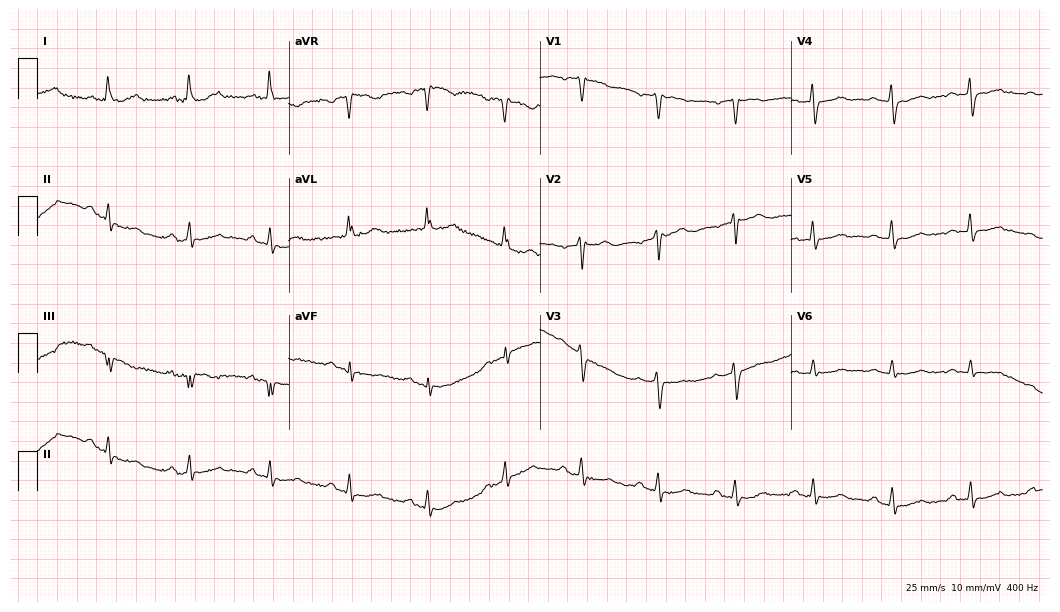
Resting 12-lead electrocardiogram (10.2-second recording at 400 Hz). Patient: a female, 59 years old. None of these six findings is recorded: first-degree AV block, right bundle branch block, left bundle branch block, sinus bradycardia, atrial fibrillation, sinus tachycardia. Other findings, if any, are not listed.